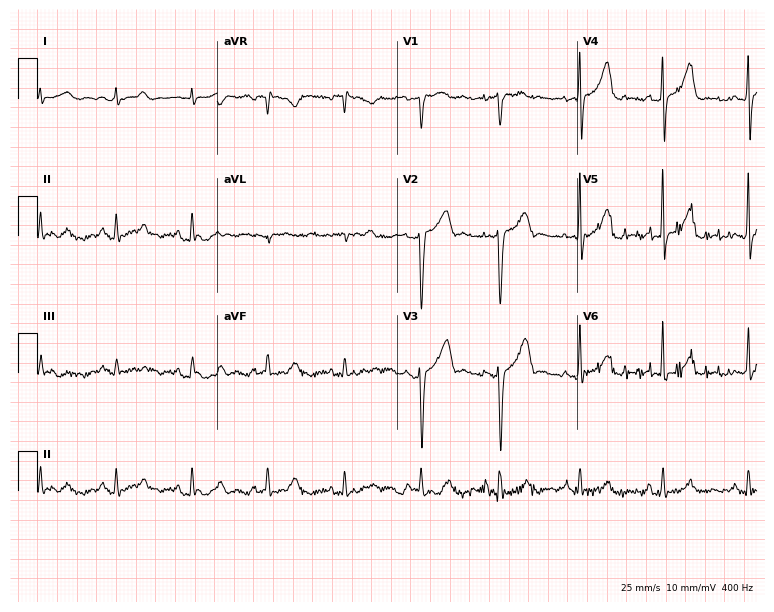
ECG — a male, 56 years old. Labelled as a normal ECG.